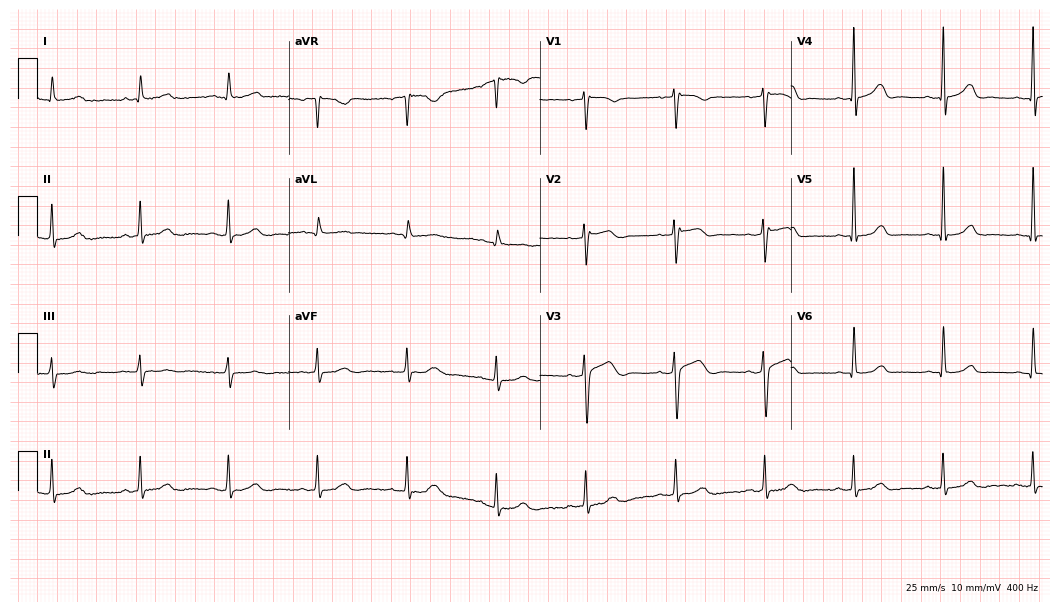
12-lead ECG (10.2-second recording at 400 Hz) from a 56-year-old woman. Screened for six findings — first-degree AV block, right bundle branch block, left bundle branch block, sinus bradycardia, atrial fibrillation, sinus tachycardia — none is recorded.